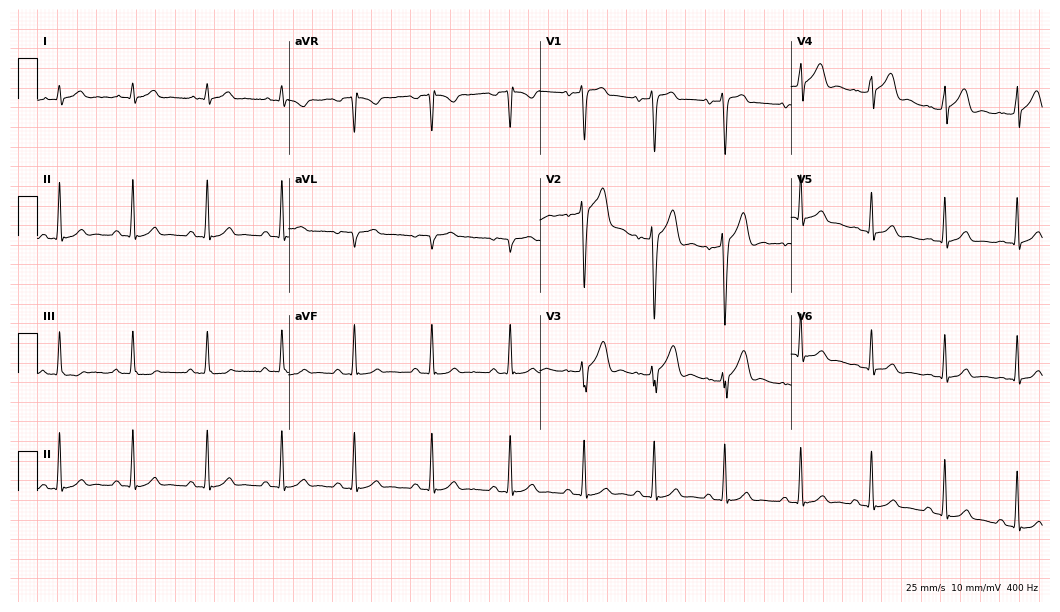
12-lead ECG from a male, 20 years old. Screened for six findings — first-degree AV block, right bundle branch block, left bundle branch block, sinus bradycardia, atrial fibrillation, sinus tachycardia — none is recorded.